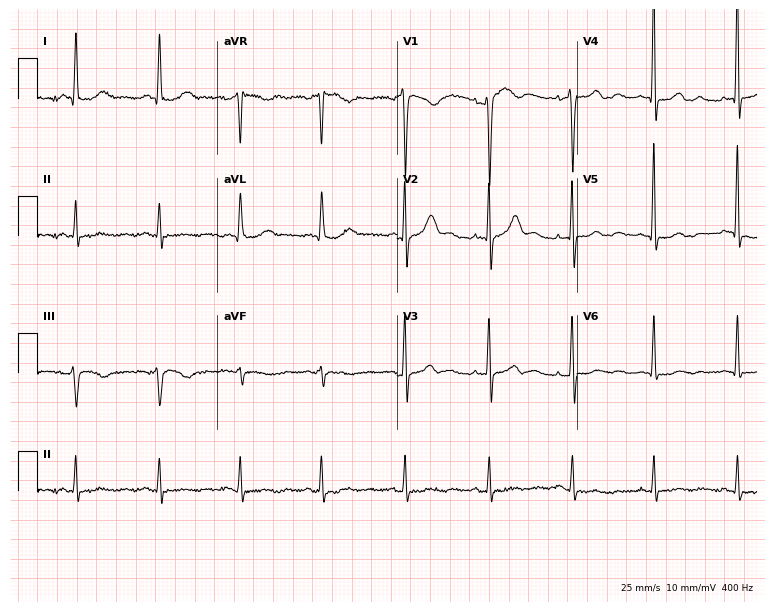
Resting 12-lead electrocardiogram. Patient: a 67-year-old female. None of these six findings is recorded: first-degree AV block, right bundle branch block, left bundle branch block, sinus bradycardia, atrial fibrillation, sinus tachycardia. Other findings, if any, are not listed.